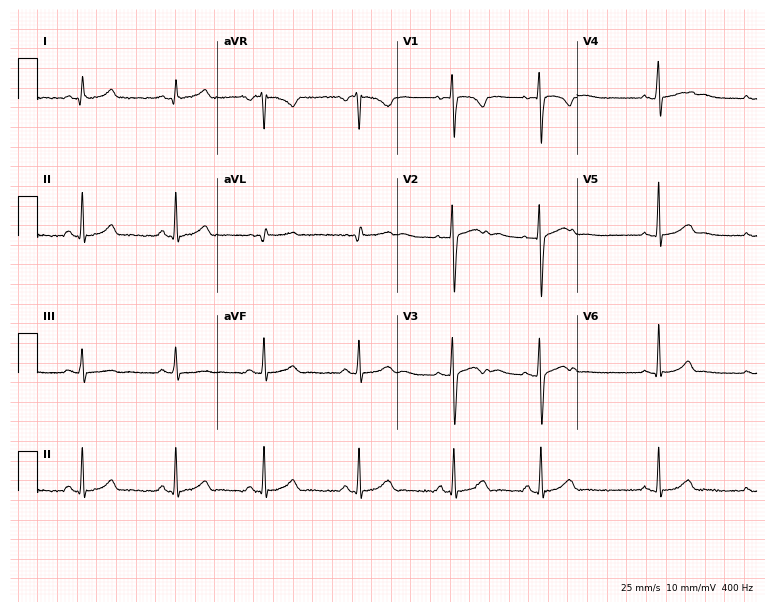
Standard 12-lead ECG recorded from a 27-year-old female patient (7.3-second recording at 400 Hz). Read as a normal ECG.